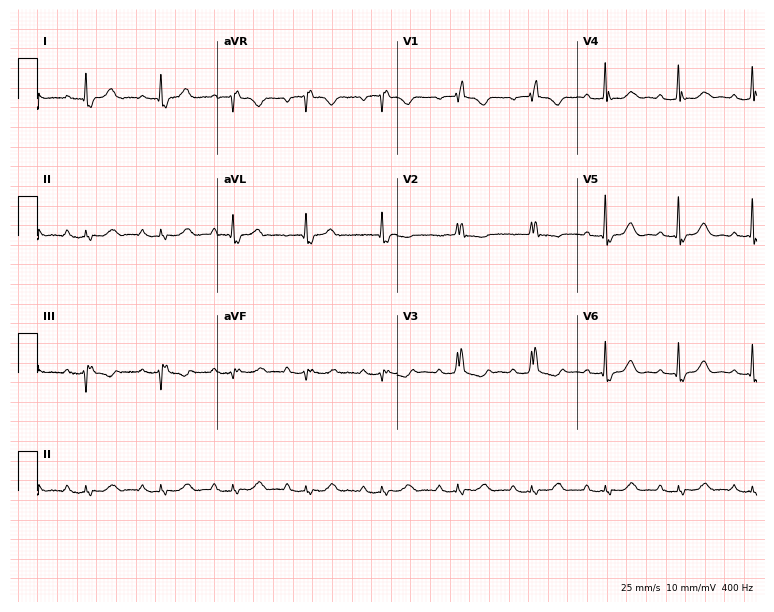
Resting 12-lead electrocardiogram (7.3-second recording at 400 Hz). Patient: an 82-year-old female. The tracing shows first-degree AV block, right bundle branch block (RBBB).